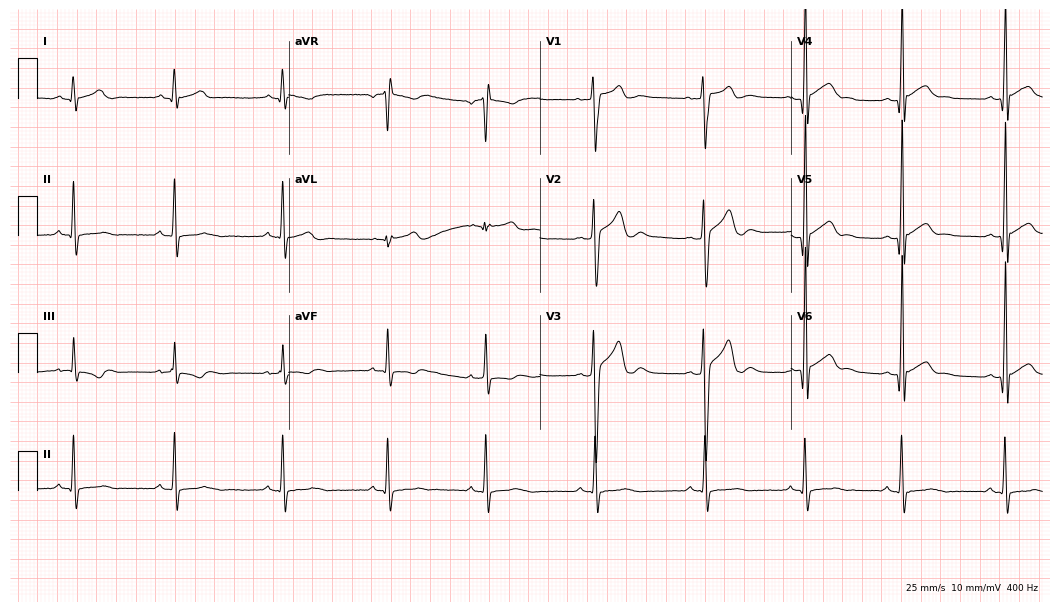
12-lead ECG from an 18-year-old male patient. No first-degree AV block, right bundle branch block (RBBB), left bundle branch block (LBBB), sinus bradycardia, atrial fibrillation (AF) or sinus tachycardia recorded for this tracing.